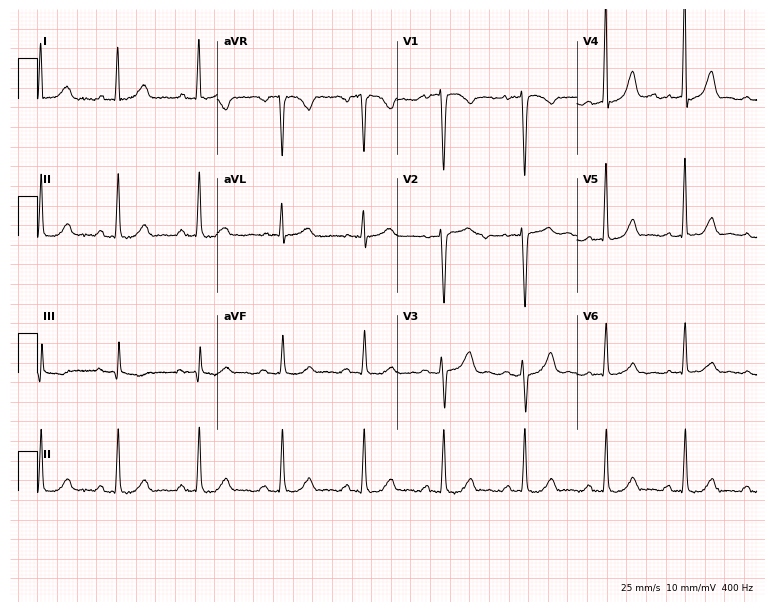
12-lead ECG from a 39-year-old female patient. Screened for six findings — first-degree AV block, right bundle branch block, left bundle branch block, sinus bradycardia, atrial fibrillation, sinus tachycardia — none is recorded.